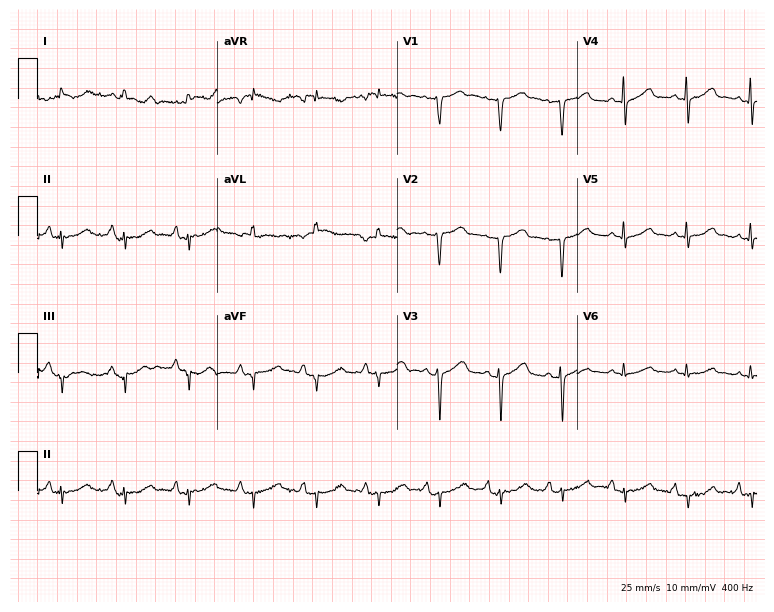
ECG — a female patient, 64 years old. Screened for six findings — first-degree AV block, right bundle branch block, left bundle branch block, sinus bradycardia, atrial fibrillation, sinus tachycardia — none is recorded.